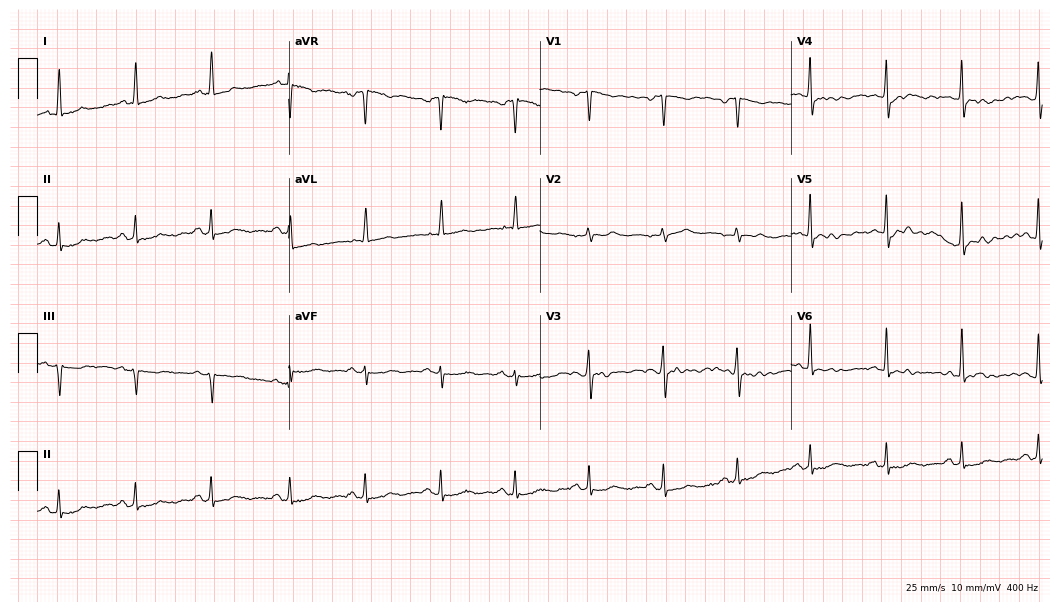
12-lead ECG (10.2-second recording at 400 Hz) from a 61-year-old female patient. Screened for six findings — first-degree AV block, right bundle branch block, left bundle branch block, sinus bradycardia, atrial fibrillation, sinus tachycardia — none is recorded.